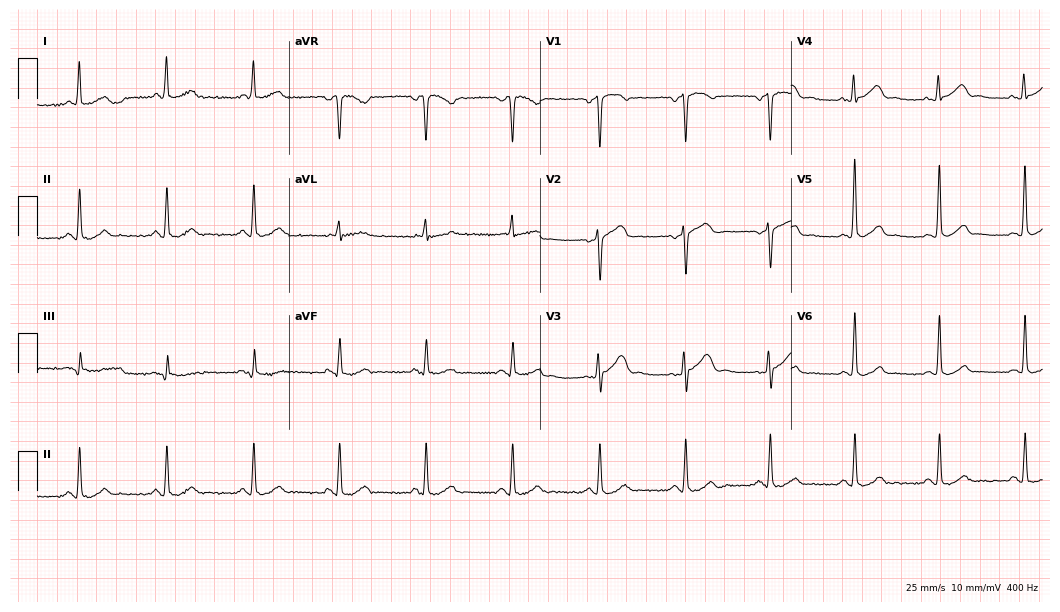
ECG — a 70-year-old male patient. Labelled as a normal ECG.